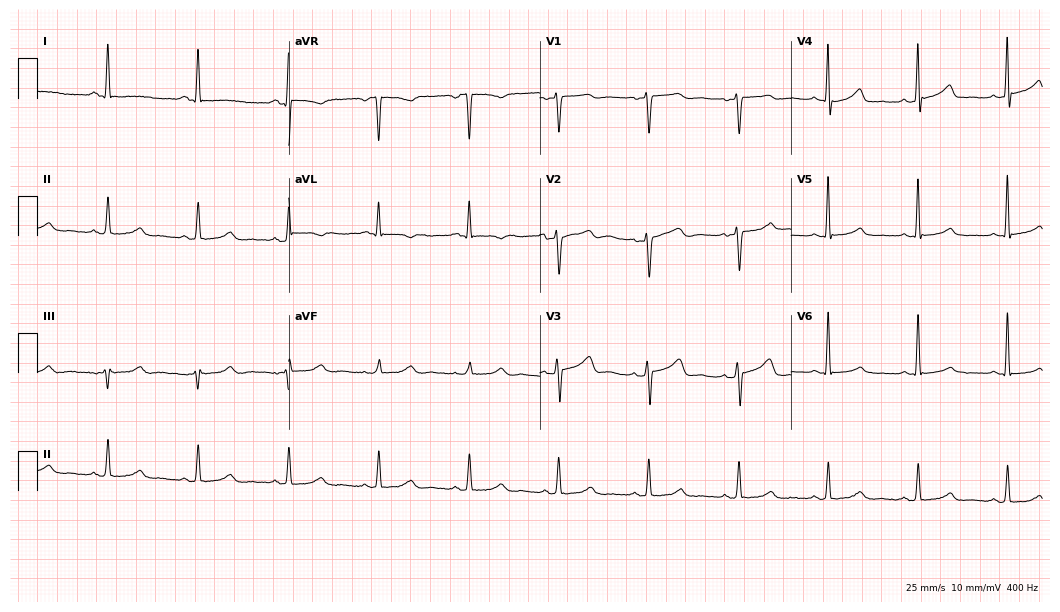
Resting 12-lead electrocardiogram. Patient: a woman, 51 years old. Read as a normal ECG.